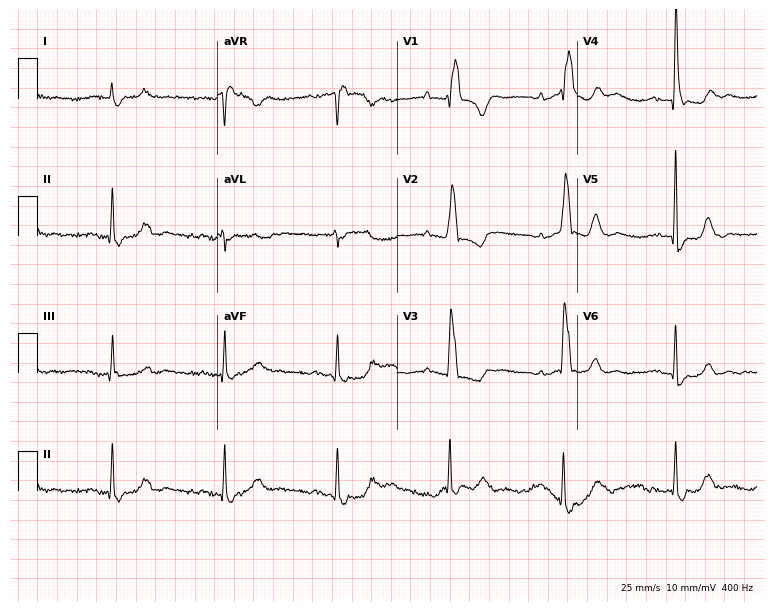
Electrocardiogram (7.3-second recording at 400 Hz), a woman, 83 years old. Interpretation includes first-degree AV block, right bundle branch block (RBBB).